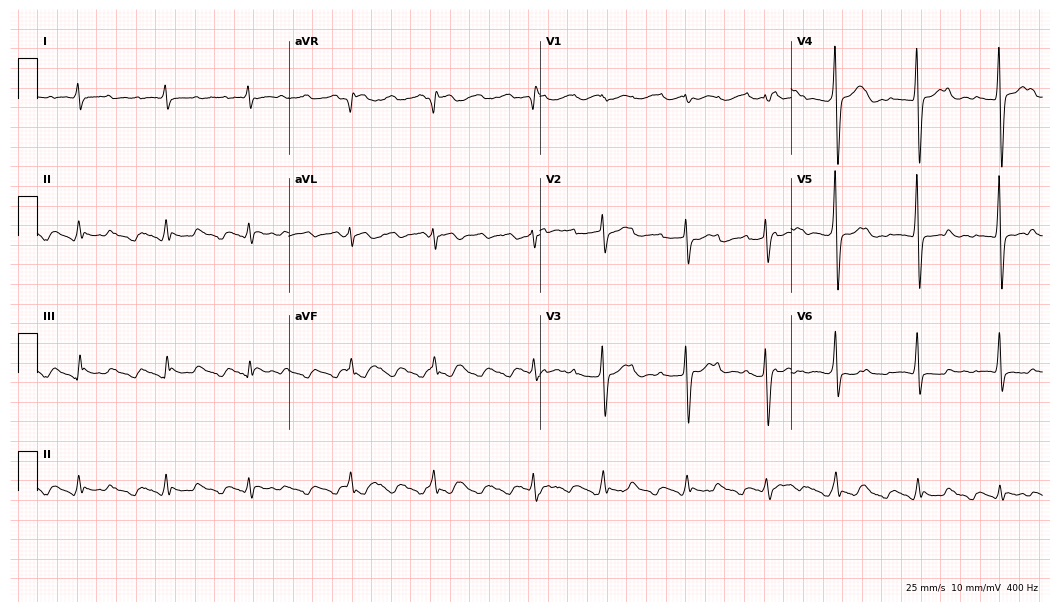
Standard 12-lead ECG recorded from a male, 71 years old (10.2-second recording at 400 Hz). None of these six findings is recorded: first-degree AV block, right bundle branch block, left bundle branch block, sinus bradycardia, atrial fibrillation, sinus tachycardia.